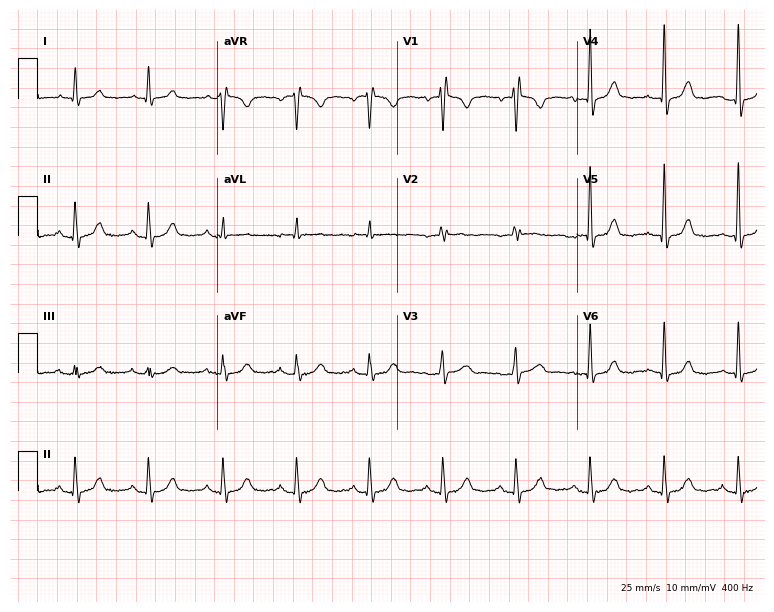
Standard 12-lead ECG recorded from a woman, 63 years old. None of these six findings is recorded: first-degree AV block, right bundle branch block, left bundle branch block, sinus bradycardia, atrial fibrillation, sinus tachycardia.